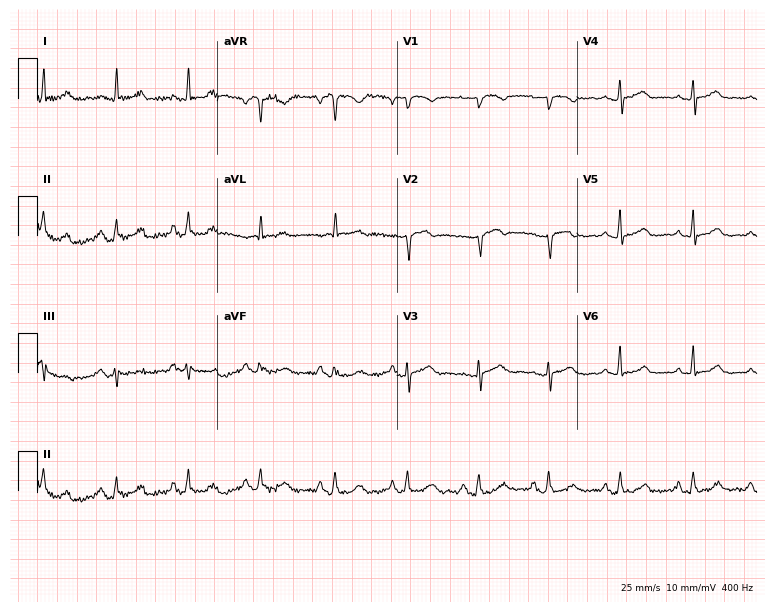
Resting 12-lead electrocardiogram. Patient: a female, 76 years old. None of these six findings is recorded: first-degree AV block, right bundle branch block, left bundle branch block, sinus bradycardia, atrial fibrillation, sinus tachycardia.